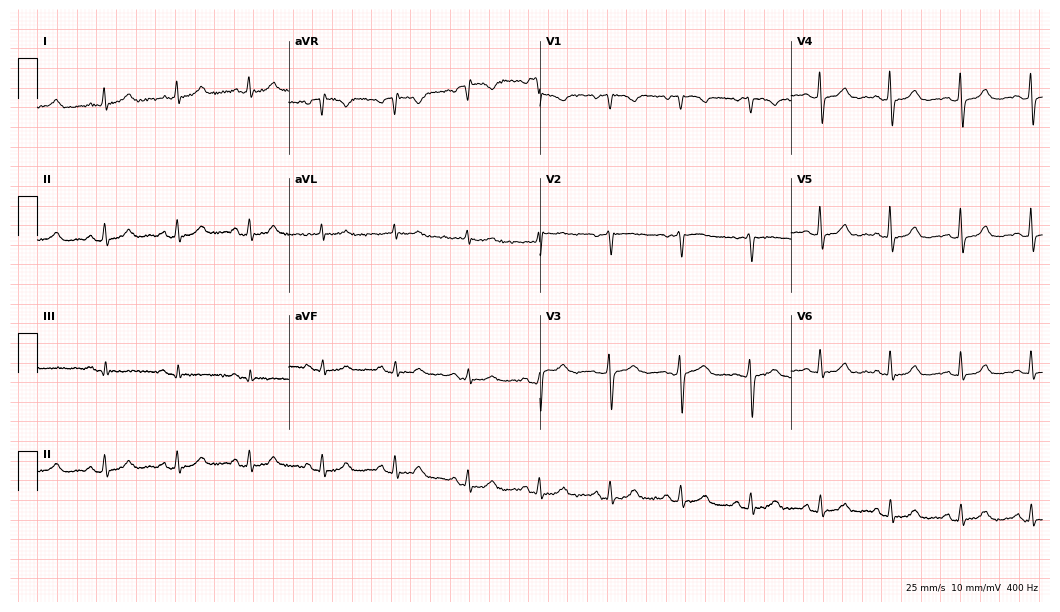
12-lead ECG from a 66-year-old female patient. Recorded interpretation: within normal limits.